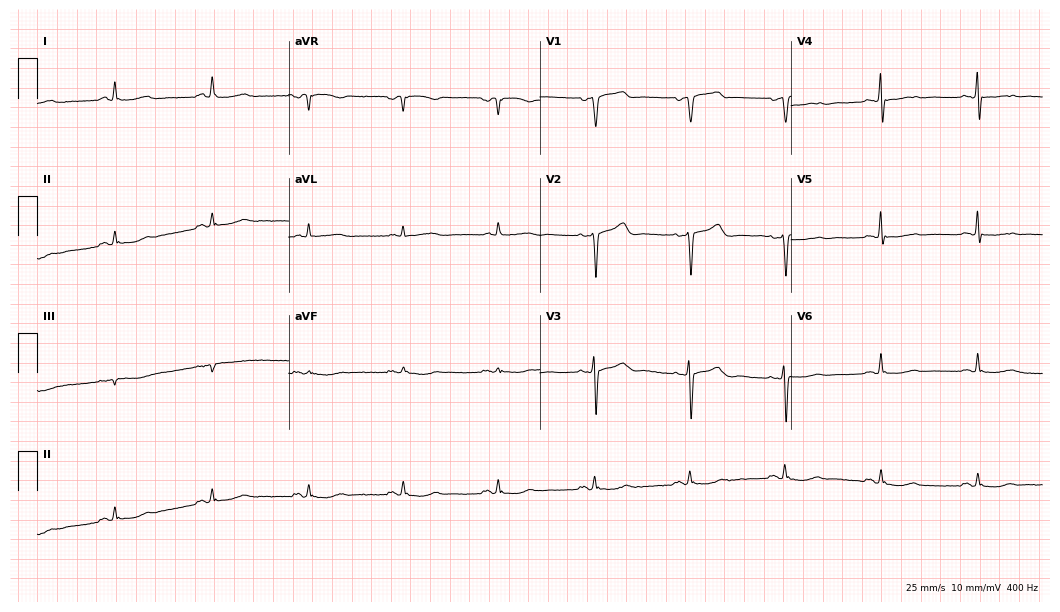
Electrocardiogram (10.2-second recording at 400 Hz), a 61-year-old female patient. Overall reading on record: normal ECG.